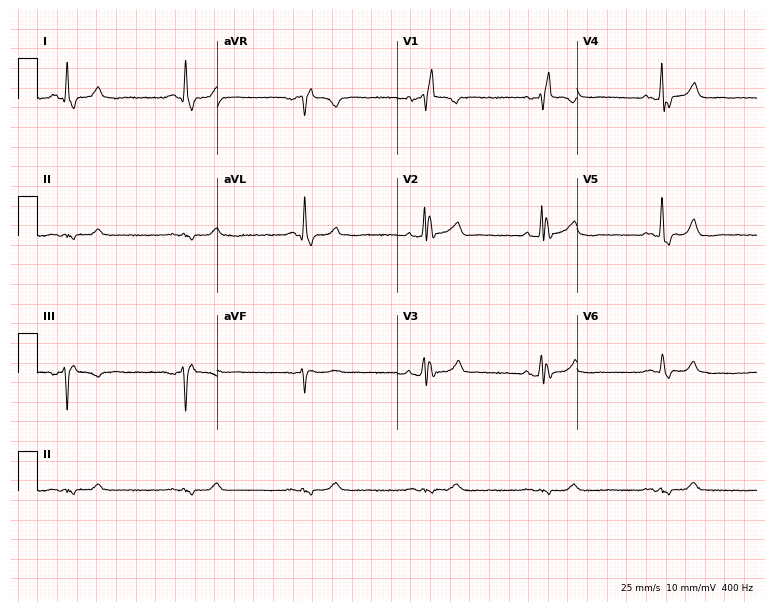
12-lead ECG from a male, 71 years old (7.3-second recording at 400 Hz). Shows right bundle branch block (RBBB), sinus bradycardia (a sinus rate of 50 beats per minute or less).